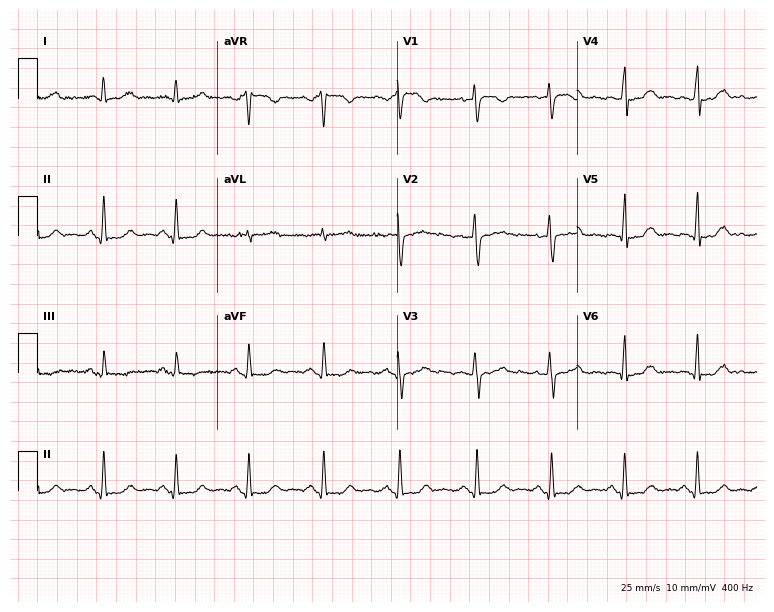
Standard 12-lead ECG recorded from a female, 48 years old. None of these six findings is recorded: first-degree AV block, right bundle branch block (RBBB), left bundle branch block (LBBB), sinus bradycardia, atrial fibrillation (AF), sinus tachycardia.